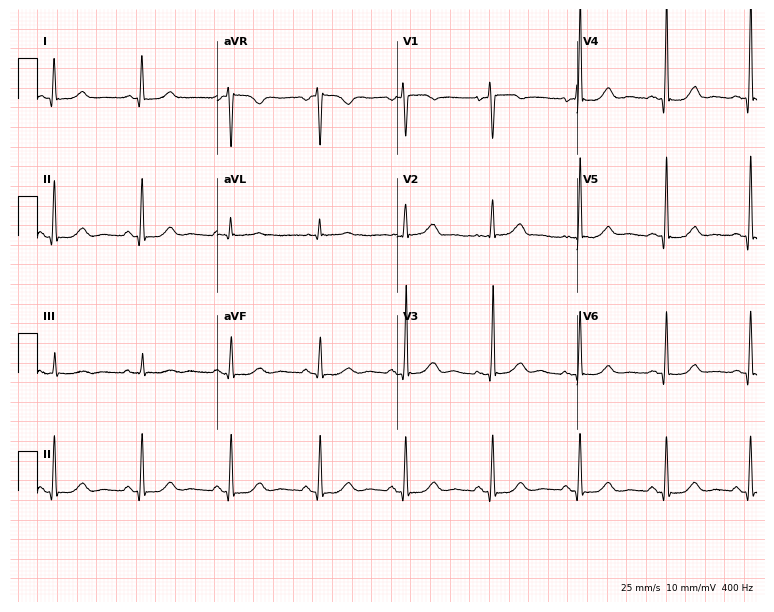
ECG (7.3-second recording at 400 Hz) — a female, 50 years old. Screened for six findings — first-degree AV block, right bundle branch block (RBBB), left bundle branch block (LBBB), sinus bradycardia, atrial fibrillation (AF), sinus tachycardia — none is recorded. Other findings, if any, are not listed.